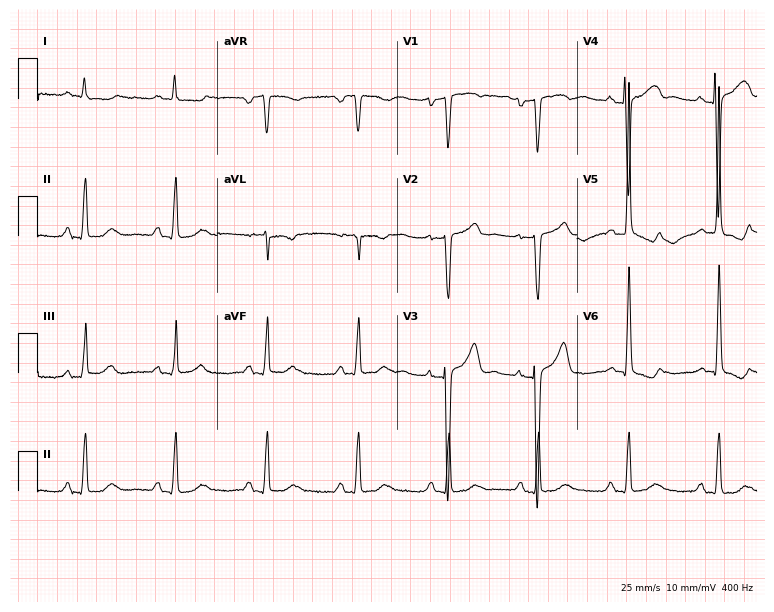
12-lead ECG from a female, 42 years old. Screened for six findings — first-degree AV block, right bundle branch block (RBBB), left bundle branch block (LBBB), sinus bradycardia, atrial fibrillation (AF), sinus tachycardia — none is recorded.